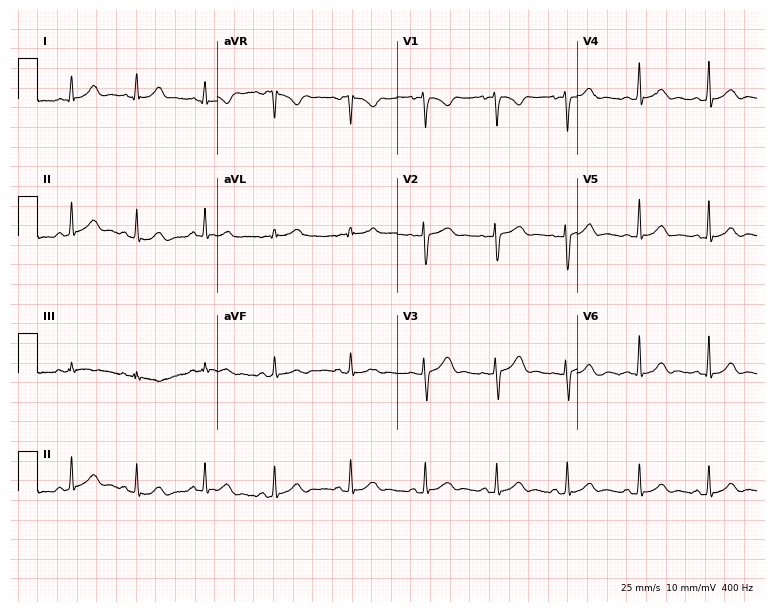
ECG (7.3-second recording at 400 Hz) — a 17-year-old female. Labelled as a normal ECG.